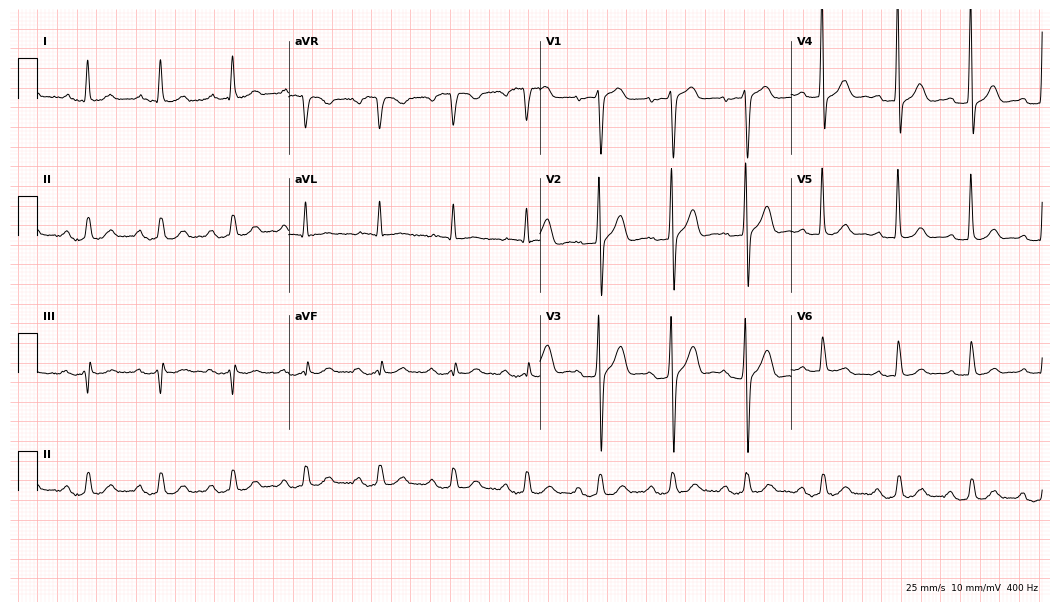
12-lead ECG from a male patient, 76 years old. Shows first-degree AV block.